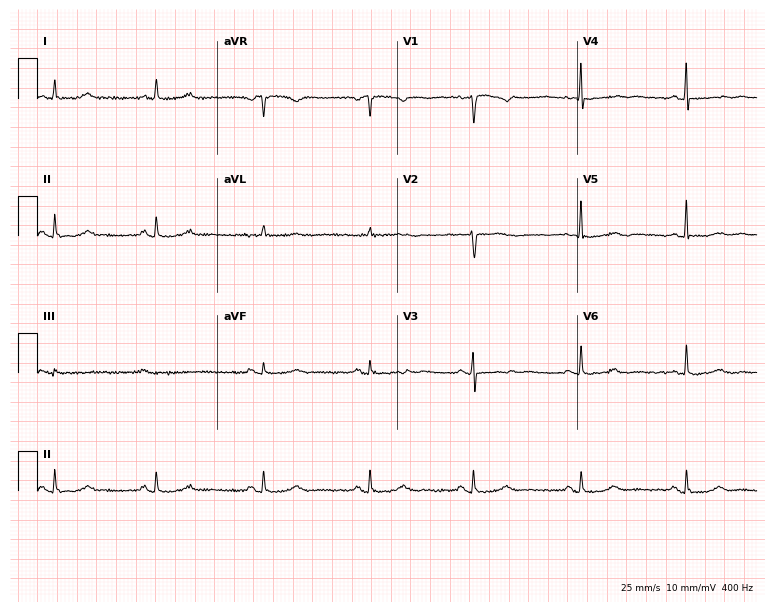
12-lead ECG from a 61-year-old female. Screened for six findings — first-degree AV block, right bundle branch block (RBBB), left bundle branch block (LBBB), sinus bradycardia, atrial fibrillation (AF), sinus tachycardia — none is recorded.